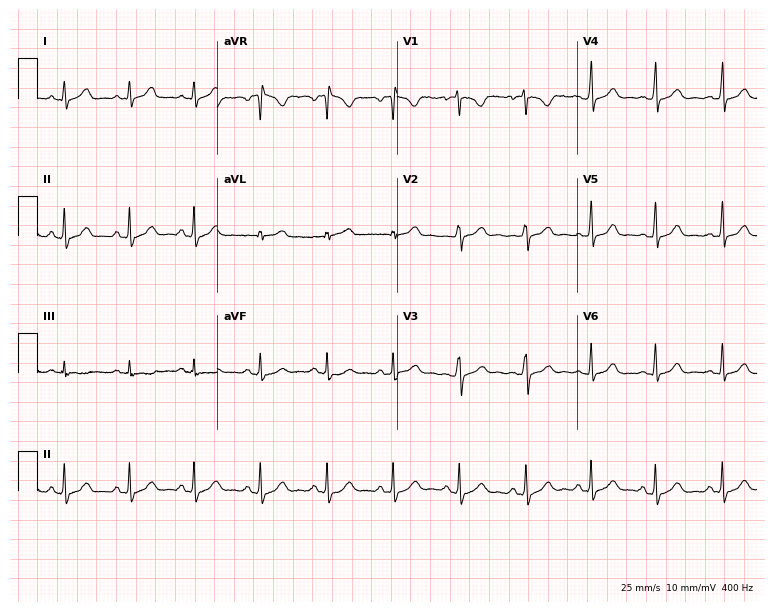
12-lead ECG from an 18-year-old woman (7.3-second recording at 400 Hz). Recorded interpretation: within normal limits.